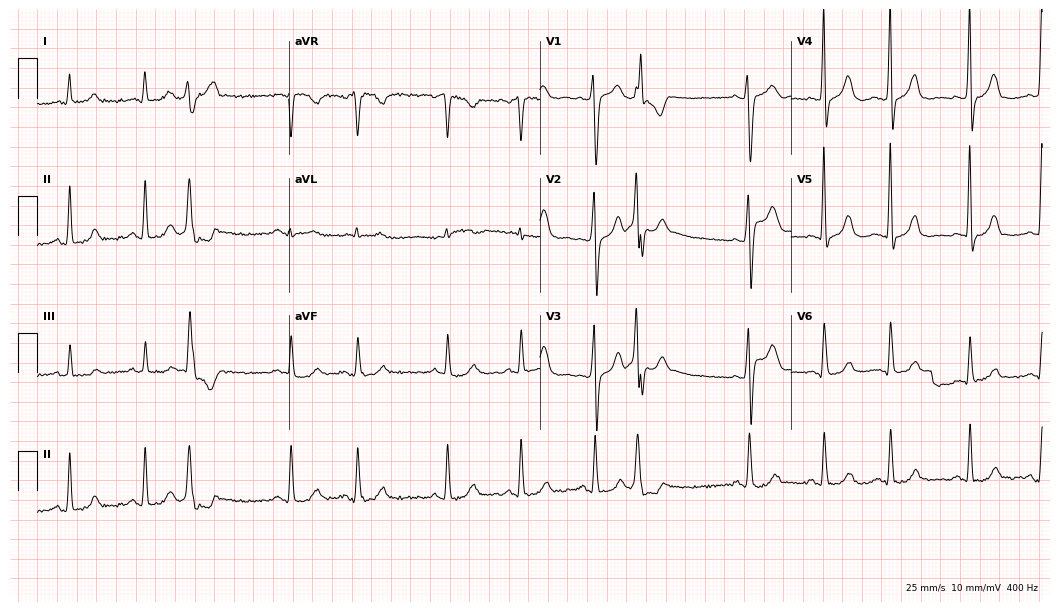
12-lead ECG from a man, 74 years old. Screened for six findings — first-degree AV block, right bundle branch block, left bundle branch block, sinus bradycardia, atrial fibrillation, sinus tachycardia — none is recorded. Other findings, if any, are not listed.